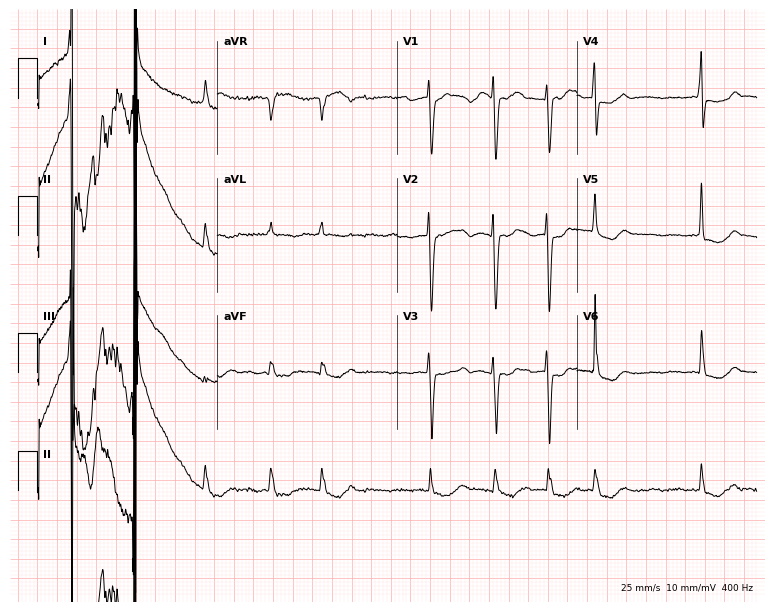
ECG (7.3-second recording at 400 Hz) — an 85-year-old female patient. Findings include atrial fibrillation (AF).